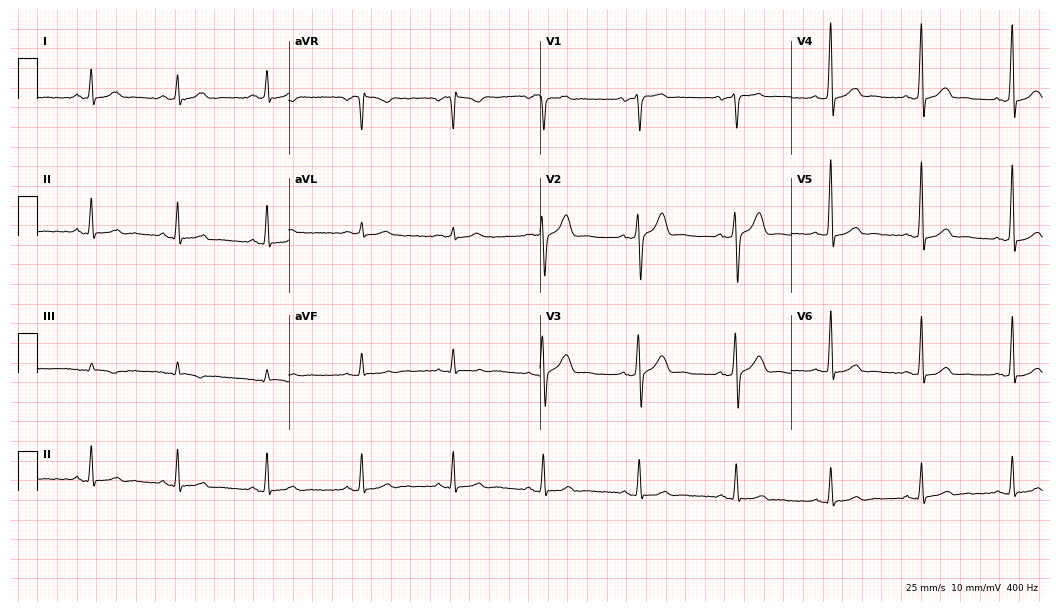
Standard 12-lead ECG recorded from a male patient, 32 years old. Read as a normal ECG.